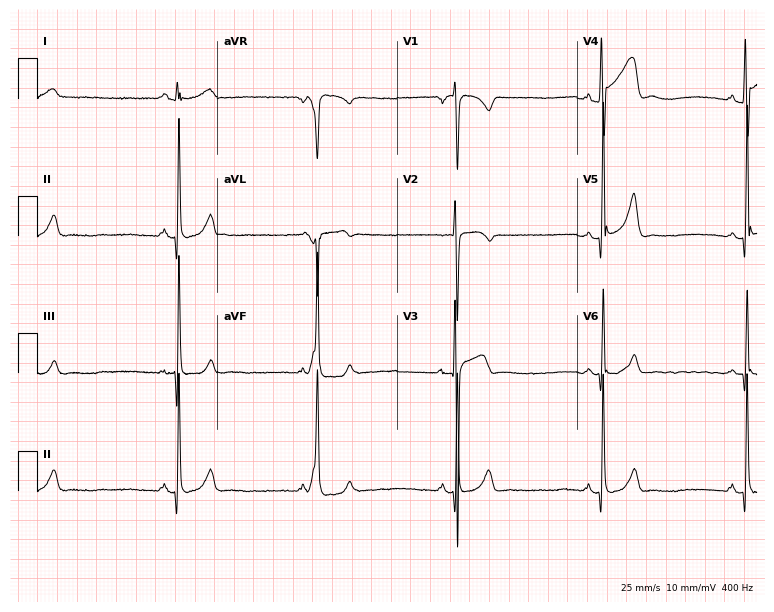
Electrocardiogram, a male patient, 33 years old. Interpretation includes sinus bradycardia (a sinus rate of 50 beats per minute or less).